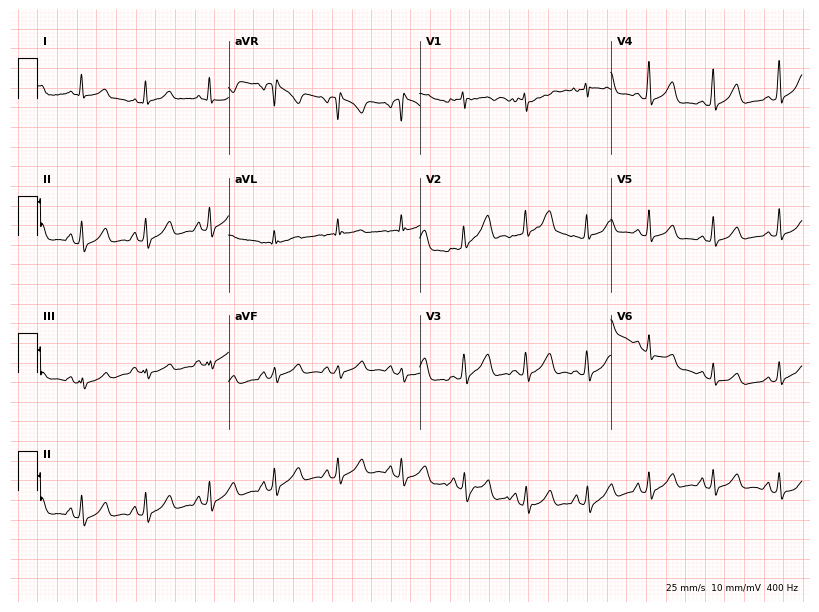
Standard 12-lead ECG recorded from a 25-year-old female patient (7.8-second recording at 400 Hz). Read as a normal ECG.